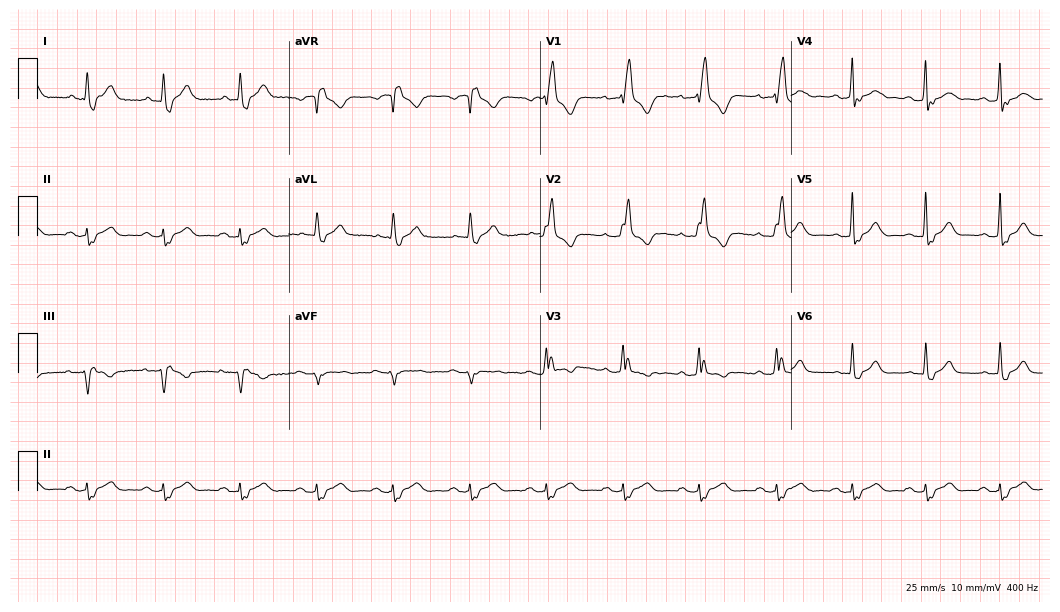
ECG — a 46-year-old man. Screened for six findings — first-degree AV block, right bundle branch block (RBBB), left bundle branch block (LBBB), sinus bradycardia, atrial fibrillation (AF), sinus tachycardia — none is recorded.